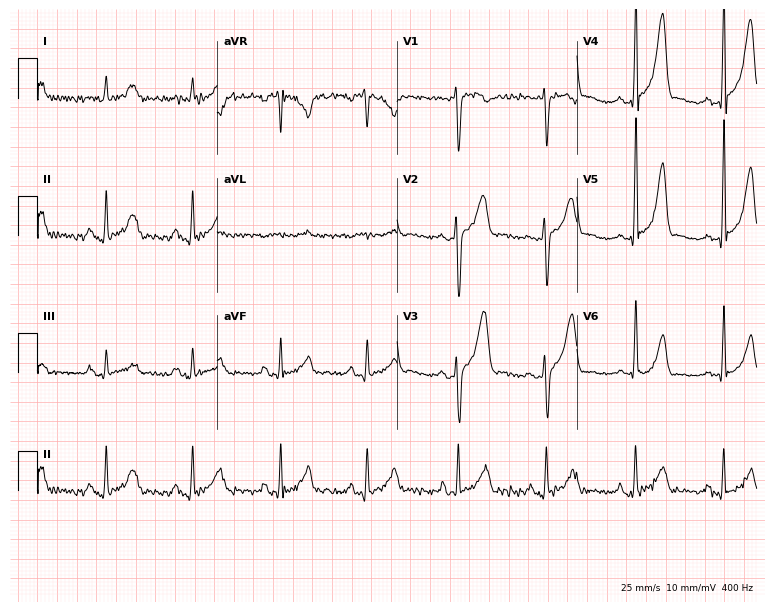
ECG (7.3-second recording at 400 Hz) — a man, 31 years old. Screened for six findings — first-degree AV block, right bundle branch block (RBBB), left bundle branch block (LBBB), sinus bradycardia, atrial fibrillation (AF), sinus tachycardia — none is recorded. Only these six findings were labelled.